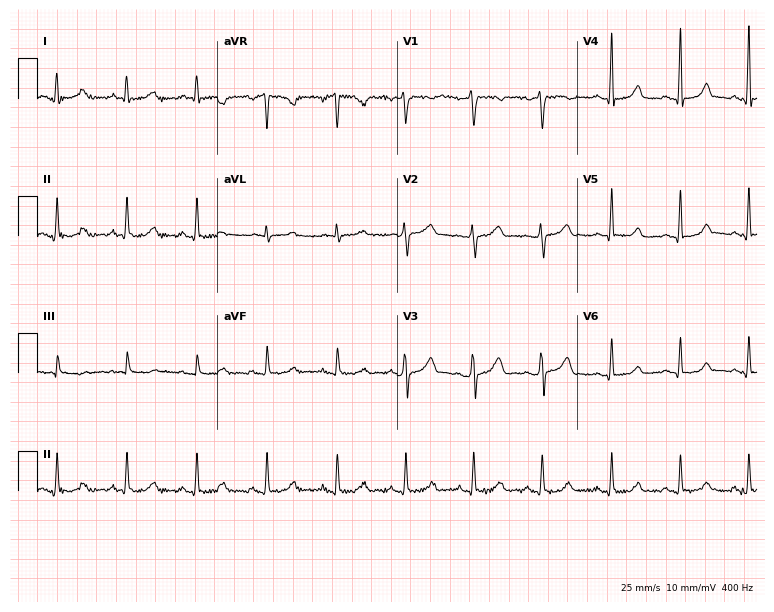
Standard 12-lead ECG recorded from a 37-year-old female patient. Read as a normal ECG.